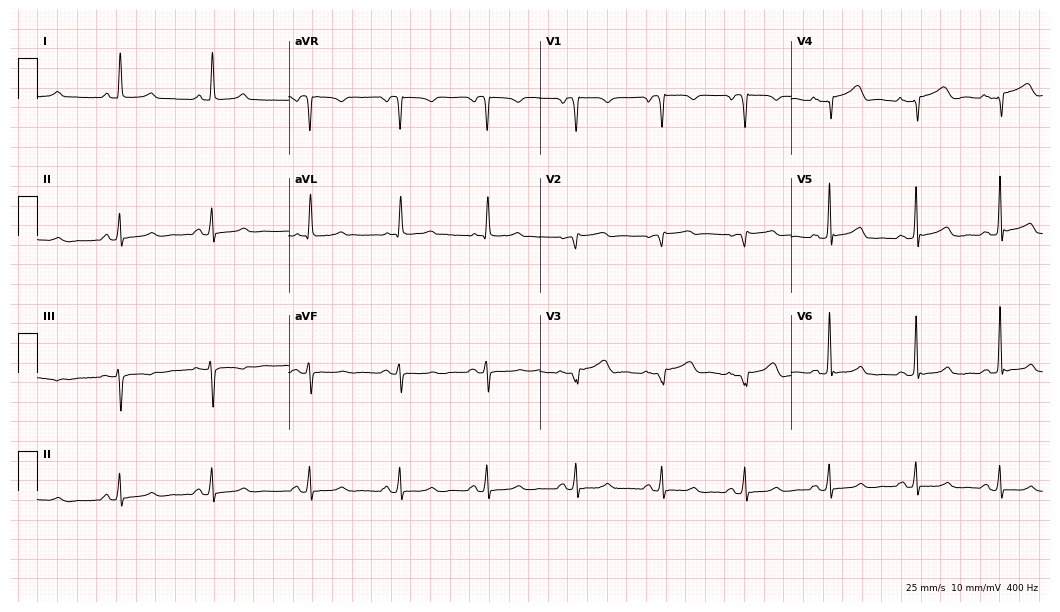
Resting 12-lead electrocardiogram. Patient: a 51-year-old woman. None of these six findings is recorded: first-degree AV block, right bundle branch block, left bundle branch block, sinus bradycardia, atrial fibrillation, sinus tachycardia. Other findings, if any, are not listed.